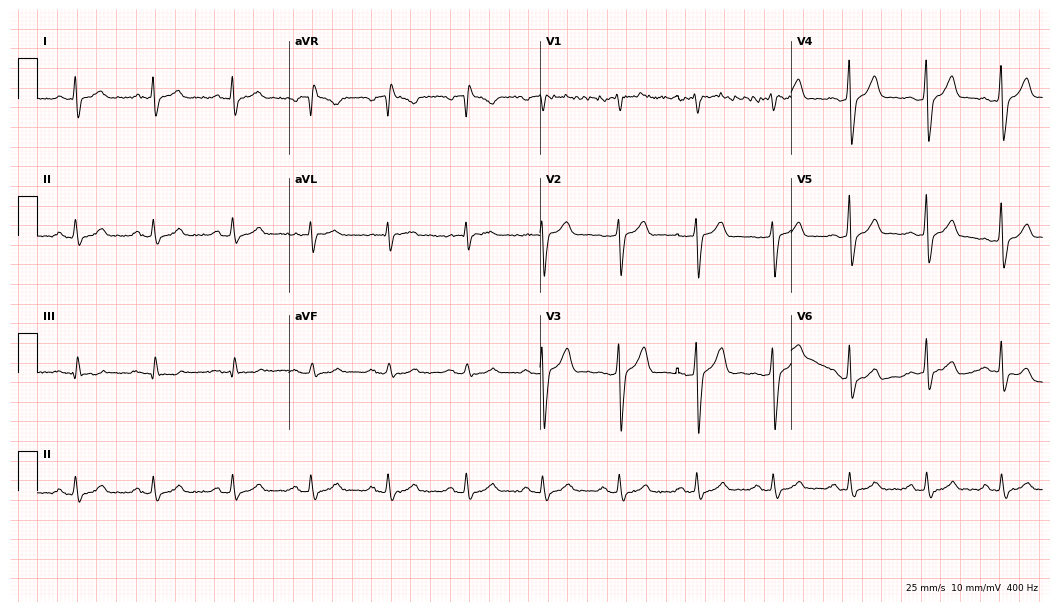
Electrocardiogram (10.2-second recording at 400 Hz), a 42-year-old male. Of the six screened findings (first-degree AV block, right bundle branch block (RBBB), left bundle branch block (LBBB), sinus bradycardia, atrial fibrillation (AF), sinus tachycardia), none is recorded.